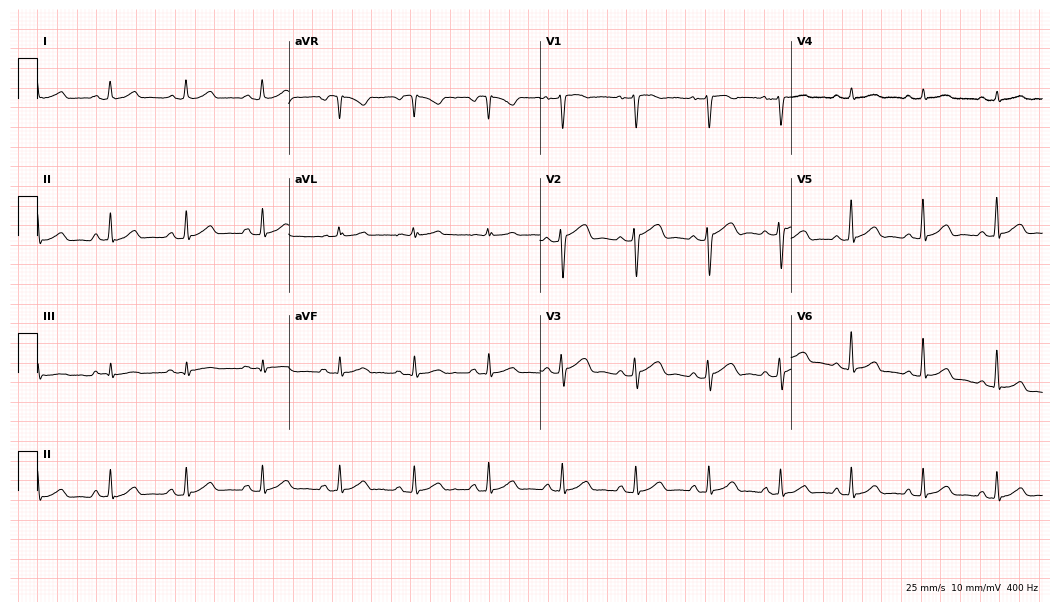
Electrocardiogram (10.2-second recording at 400 Hz), a 44-year-old female patient. Of the six screened findings (first-degree AV block, right bundle branch block, left bundle branch block, sinus bradycardia, atrial fibrillation, sinus tachycardia), none is recorded. Only these six findings were labelled.